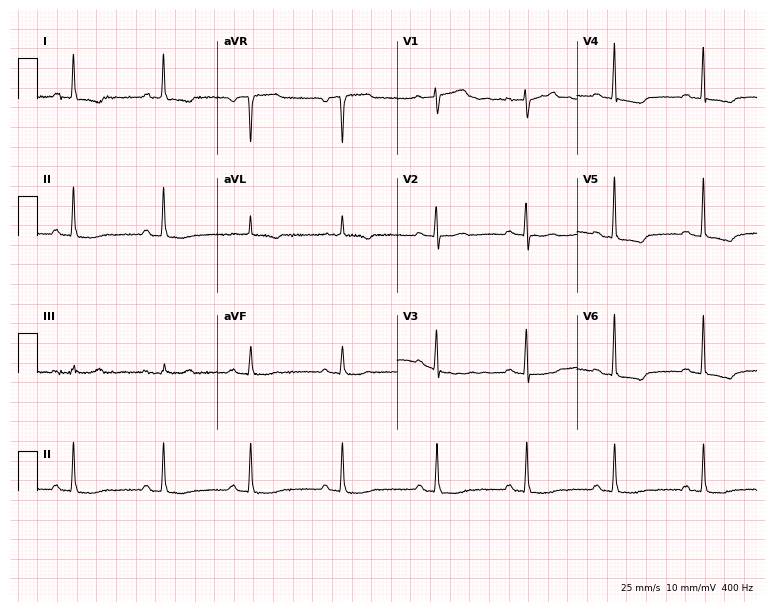
12-lead ECG from an 84-year-old woman (7.3-second recording at 400 Hz). No first-degree AV block, right bundle branch block, left bundle branch block, sinus bradycardia, atrial fibrillation or sinus tachycardia recorded for this tracing. Other findings, if any, are not listed.